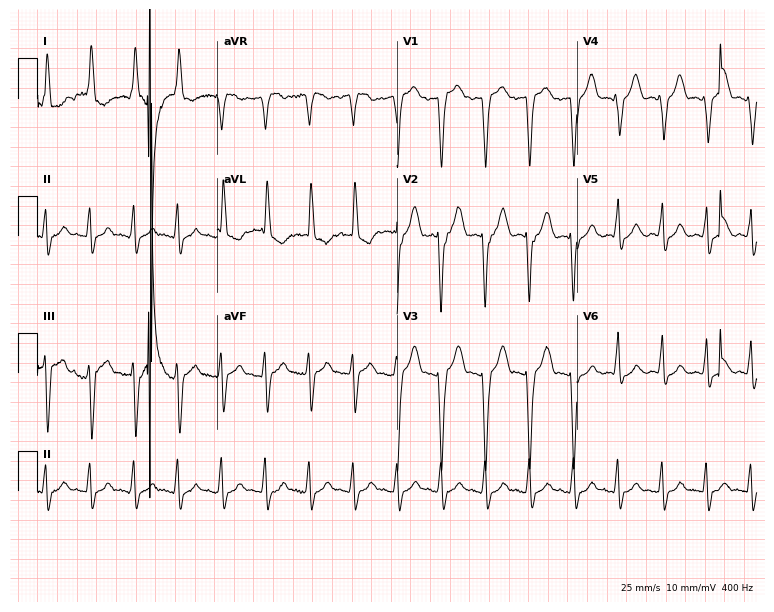
ECG — a woman, 76 years old. Findings include sinus tachycardia (a sinus rate of 100 beats per minute or more).